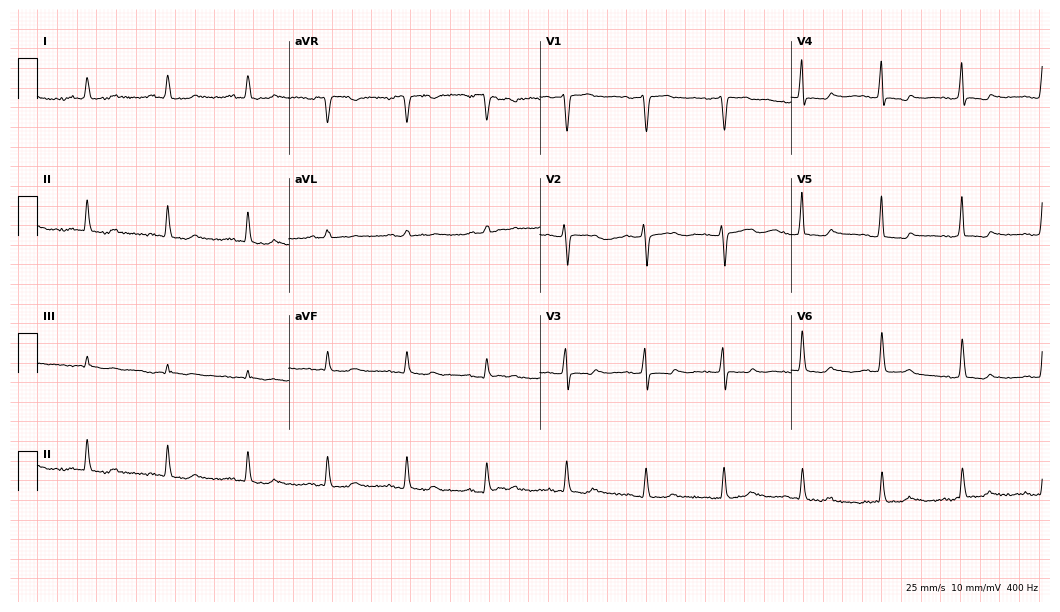
12-lead ECG from a 62-year-old female. Screened for six findings — first-degree AV block, right bundle branch block, left bundle branch block, sinus bradycardia, atrial fibrillation, sinus tachycardia — none is recorded. Only these six findings were labelled.